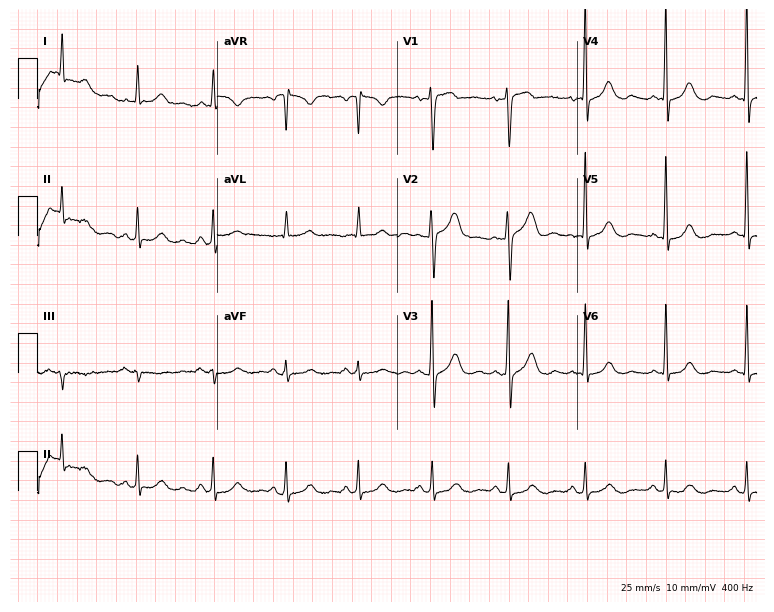
Resting 12-lead electrocardiogram (7.3-second recording at 400 Hz). Patient: a 60-year-old female. Read as a normal ECG.